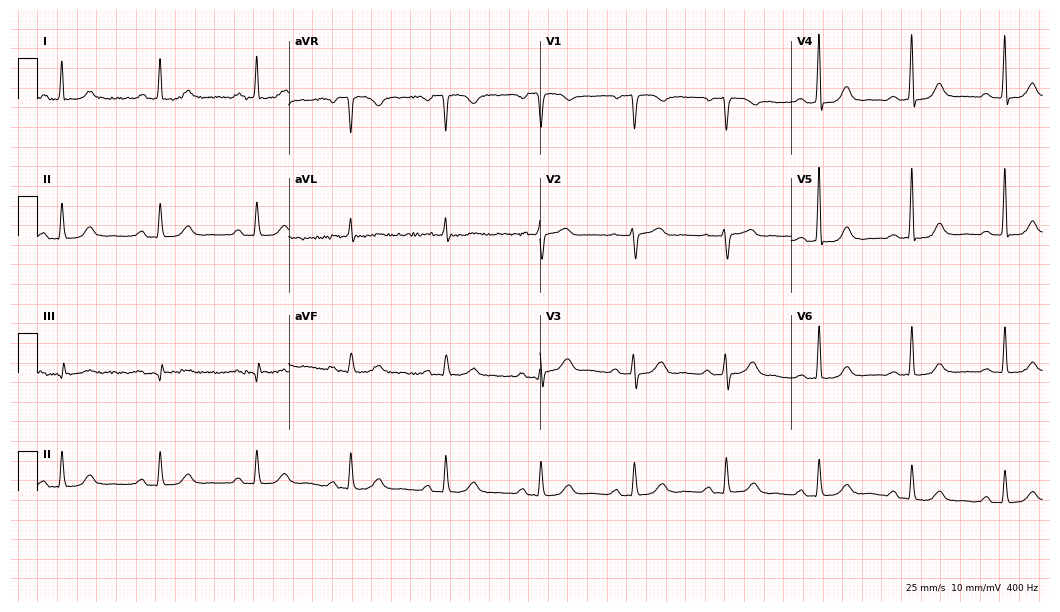
Resting 12-lead electrocardiogram. Patient: a female, 63 years old. Read as a normal ECG.